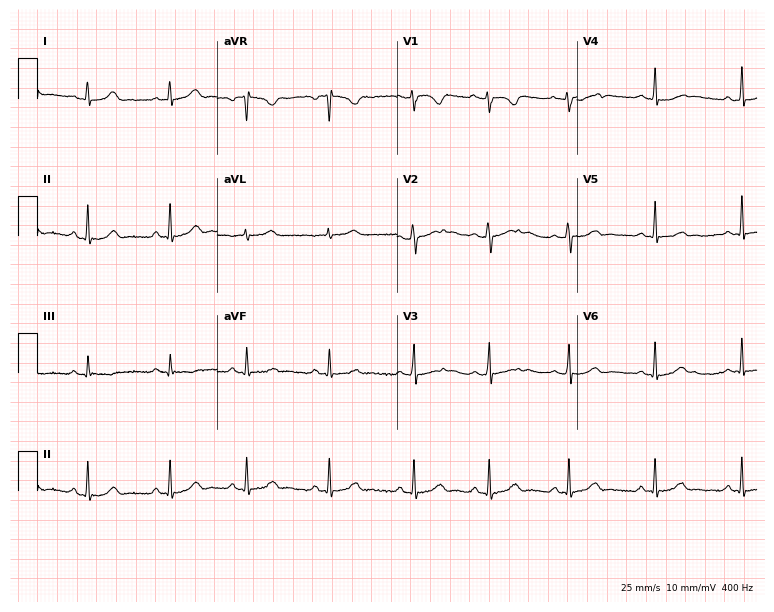
ECG (7.3-second recording at 400 Hz) — a female, 24 years old. Labelled as a normal ECG.